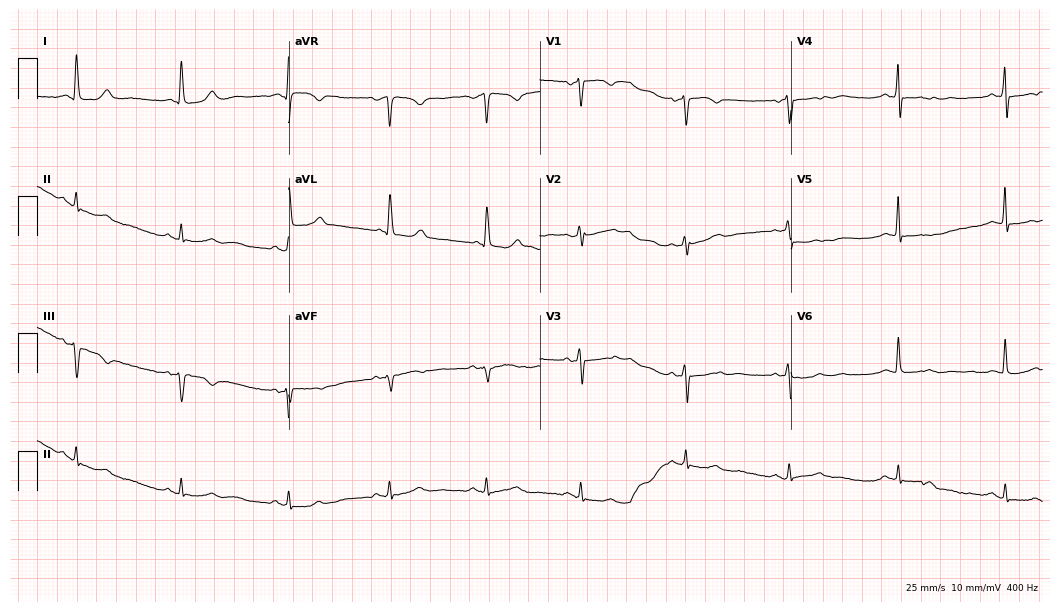
Resting 12-lead electrocardiogram. Patient: a woman, 70 years old. None of these six findings is recorded: first-degree AV block, right bundle branch block, left bundle branch block, sinus bradycardia, atrial fibrillation, sinus tachycardia.